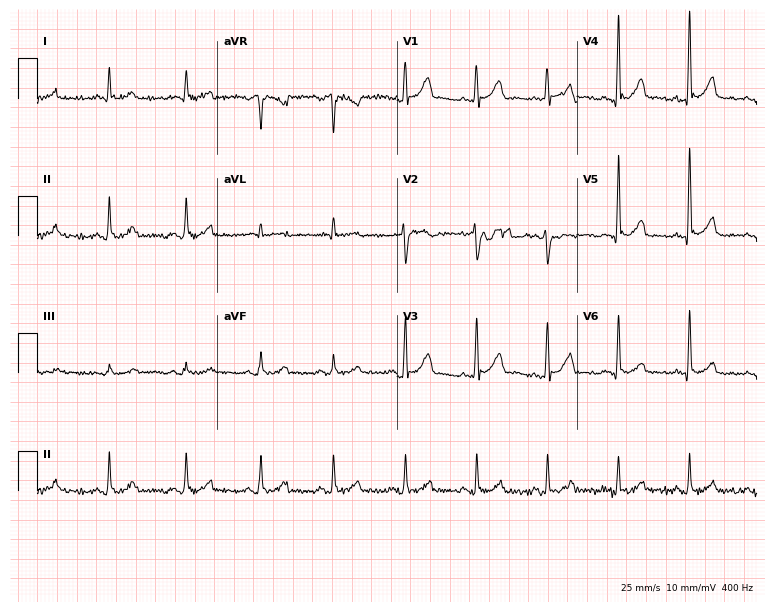
ECG (7.3-second recording at 400 Hz) — a male patient, 62 years old. Screened for six findings — first-degree AV block, right bundle branch block, left bundle branch block, sinus bradycardia, atrial fibrillation, sinus tachycardia — none is recorded. Findings outside these six are not listed.